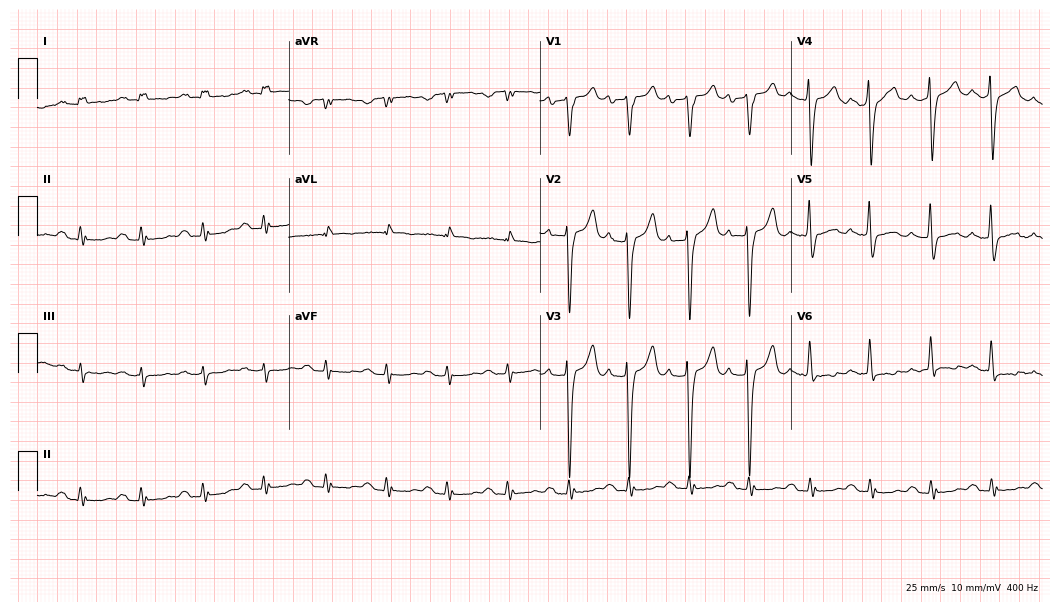
Electrocardiogram (10.2-second recording at 400 Hz), a 40-year-old male patient. Interpretation includes first-degree AV block.